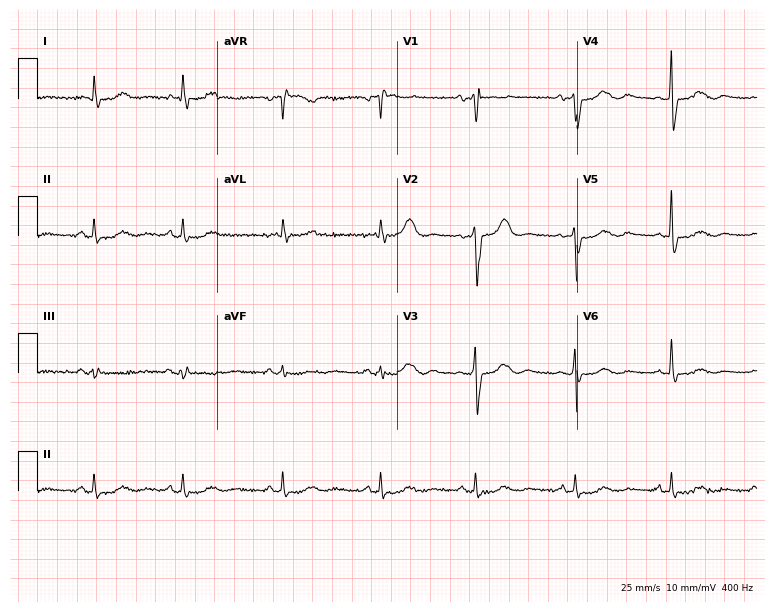
Standard 12-lead ECG recorded from a 73-year-old female. None of these six findings is recorded: first-degree AV block, right bundle branch block, left bundle branch block, sinus bradycardia, atrial fibrillation, sinus tachycardia. Only these six findings were labelled.